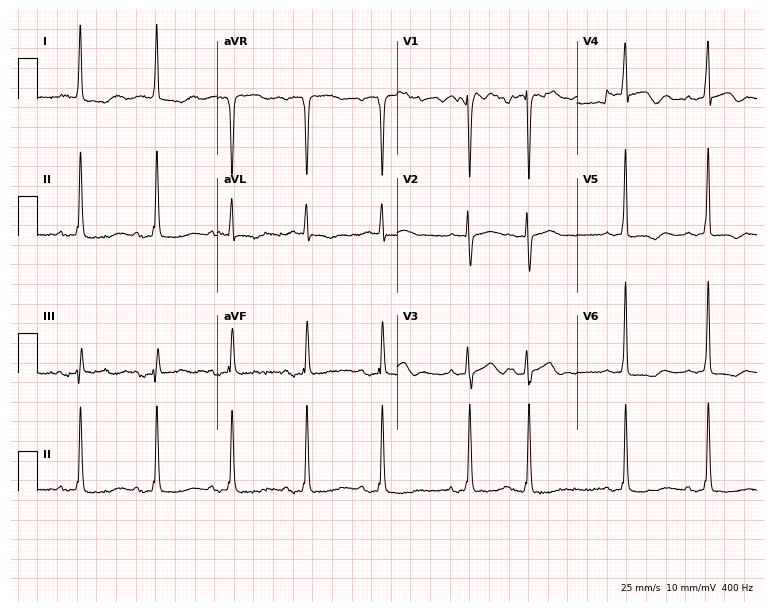
Electrocardiogram (7.3-second recording at 400 Hz), an 85-year-old woman. Overall reading on record: normal ECG.